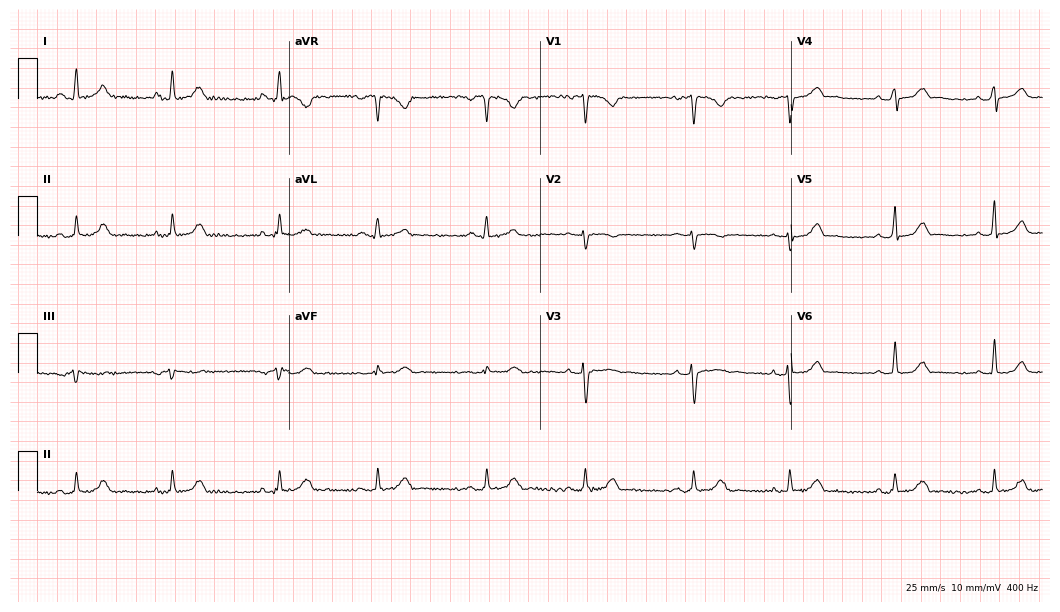
Resting 12-lead electrocardiogram (10.2-second recording at 400 Hz). Patient: a 36-year-old female. Read as a normal ECG.